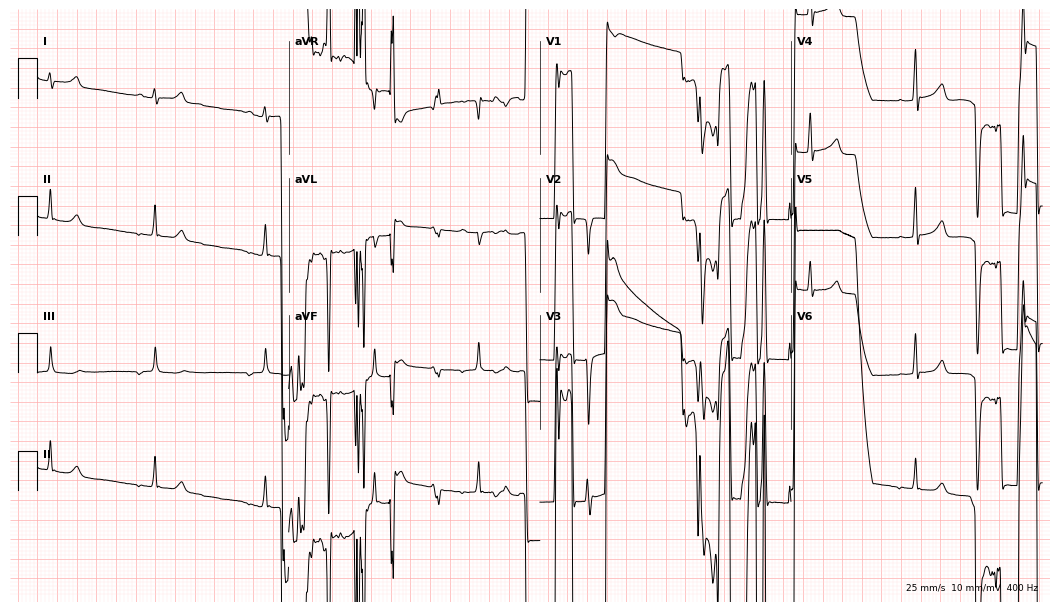
Electrocardiogram (10.2-second recording at 400 Hz), a 21-year-old man. Of the six screened findings (first-degree AV block, right bundle branch block (RBBB), left bundle branch block (LBBB), sinus bradycardia, atrial fibrillation (AF), sinus tachycardia), none is recorded. Other findings, if any, are not listed.